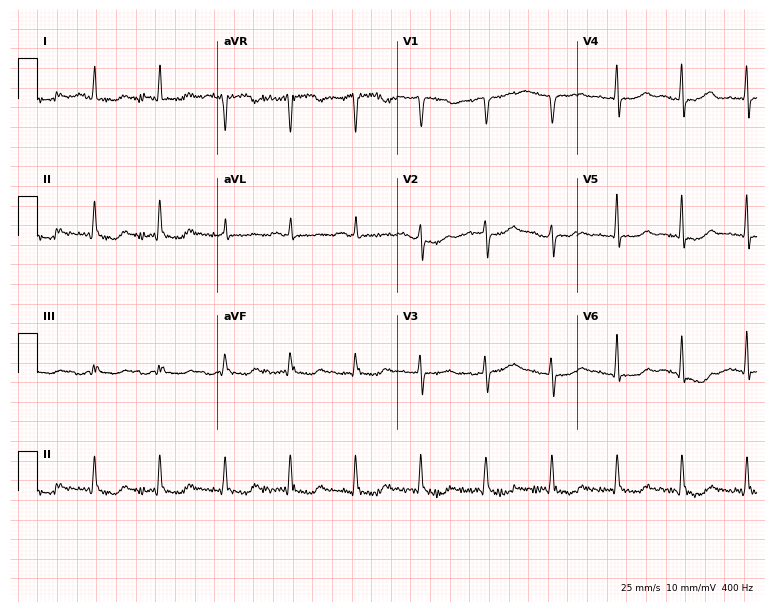
Electrocardiogram, a female patient, 60 years old. Of the six screened findings (first-degree AV block, right bundle branch block, left bundle branch block, sinus bradycardia, atrial fibrillation, sinus tachycardia), none is recorded. Other findings, if any, are not listed.